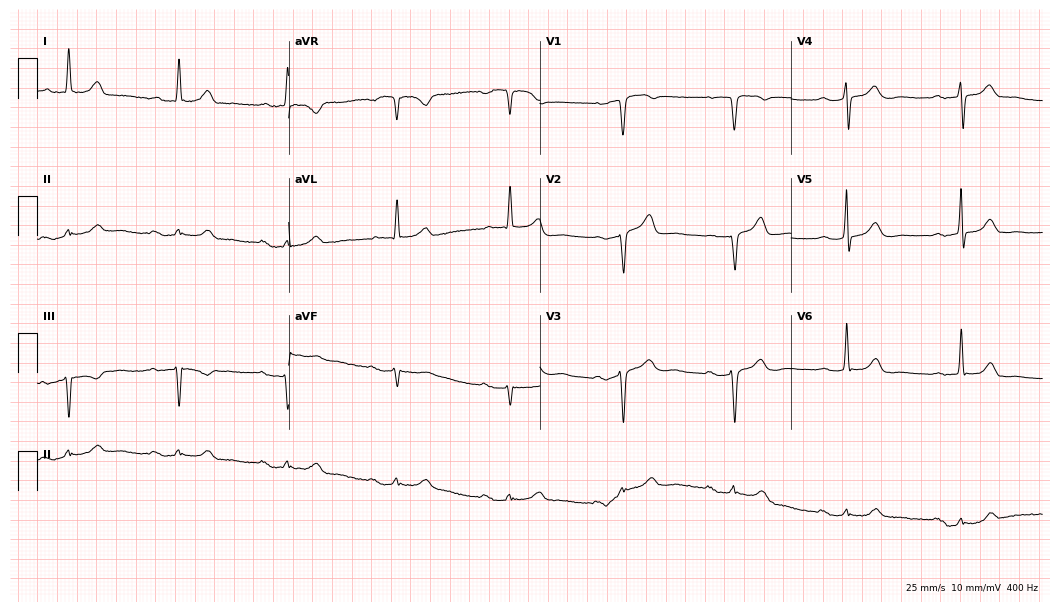
ECG — an 83-year-old male patient. Findings include first-degree AV block.